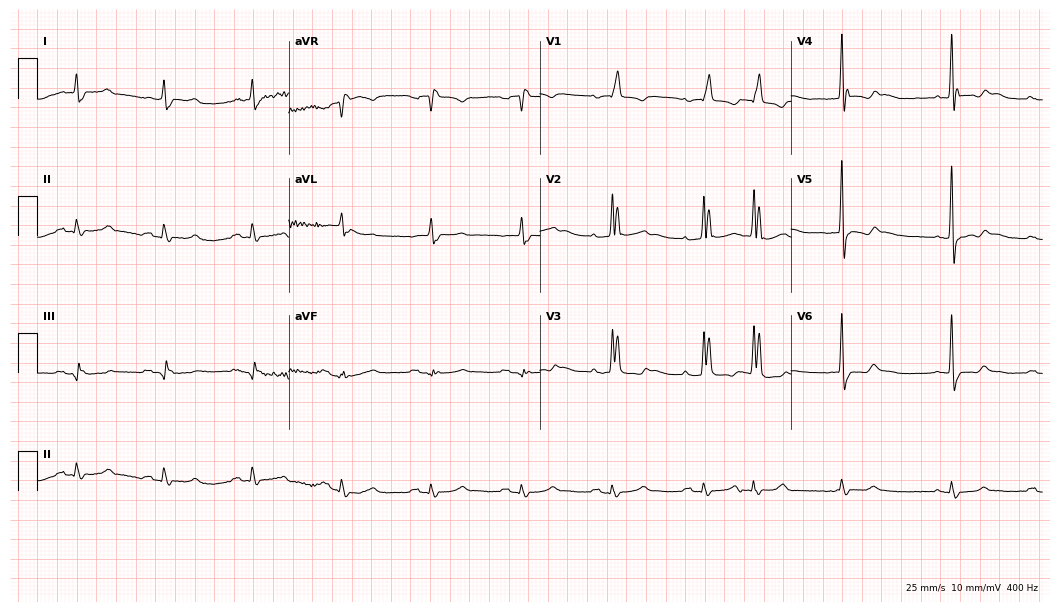
Electrocardiogram (10.2-second recording at 400 Hz), a 79-year-old male. Interpretation includes right bundle branch block.